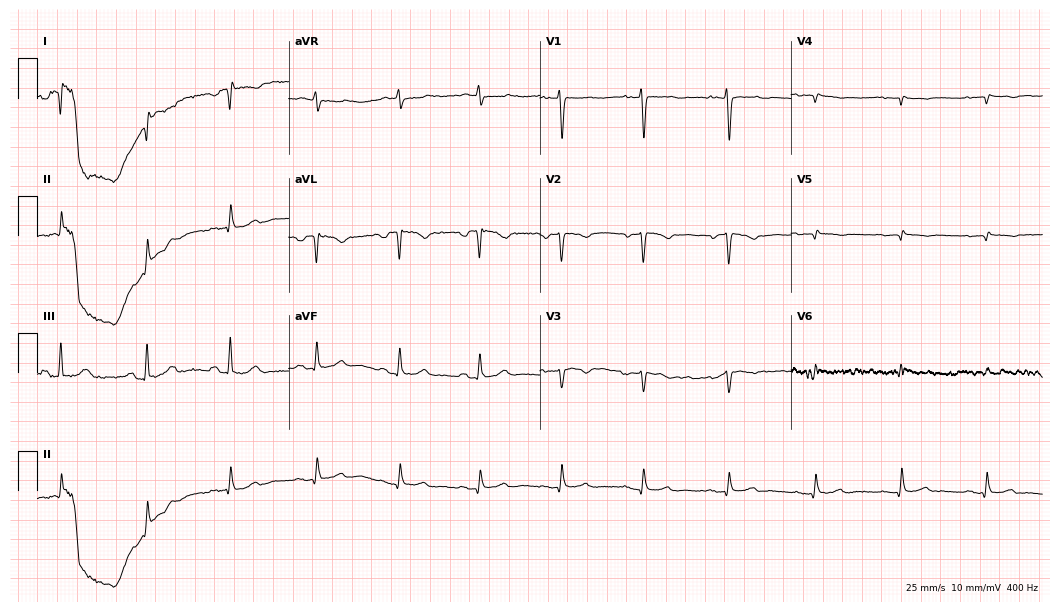
Standard 12-lead ECG recorded from a female, 58 years old. None of these six findings is recorded: first-degree AV block, right bundle branch block, left bundle branch block, sinus bradycardia, atrial fibrillation, sinus tachycardia. Findings outside these six are not listed.